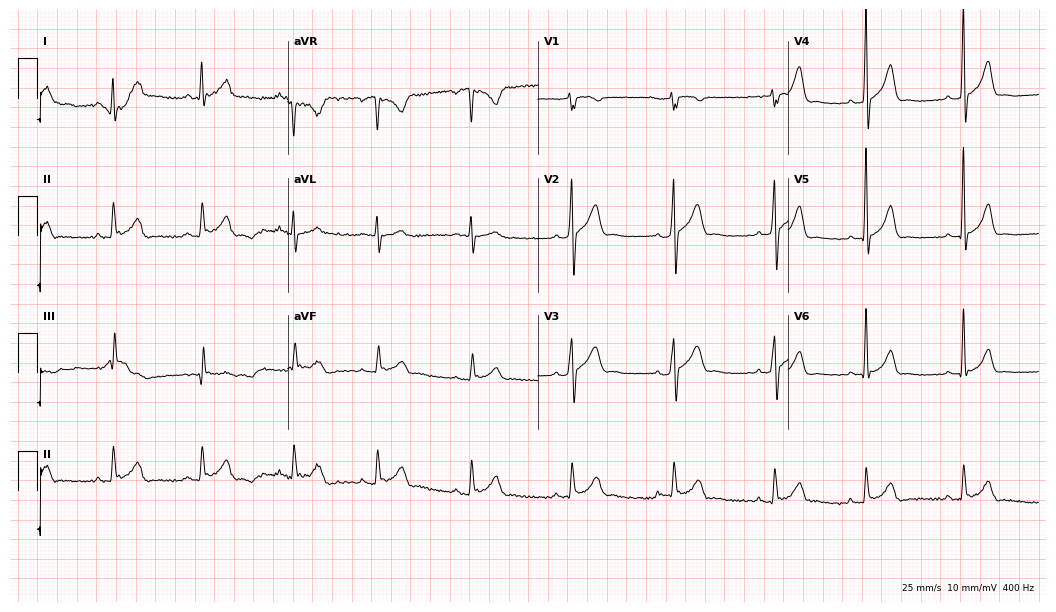
Electrocardiogram, a 31-year-old male patient. Overall reading on record: normal ECG.